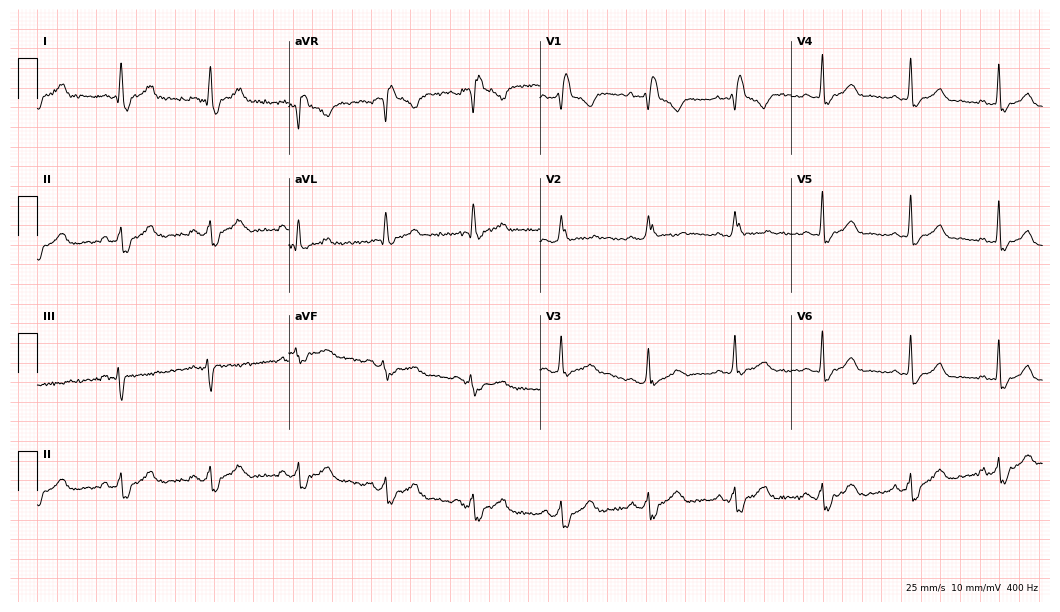
Resting 12-lead electrocardiogram (10.2-second recording at 400 Hz). Patient: a woman, 43 years old. The tracing shows right bundle branch block.